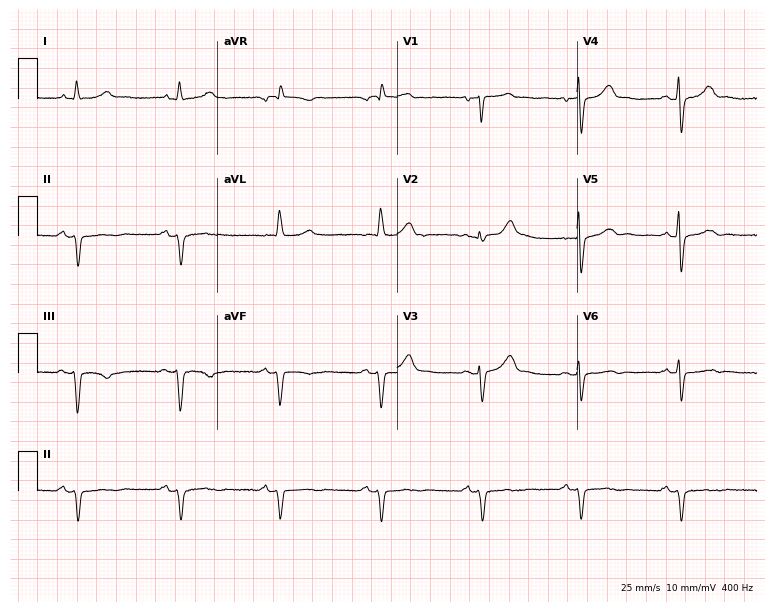
Standard 12-lead ECG recorded from a man, 86 years old. None of these six findings is recorded: first-degree AV block, right bundle branch block (RBBB), left bundle branch block (LBBB), sinus bradycardia, atrial fibrillation (AF), sinus tachycardia.